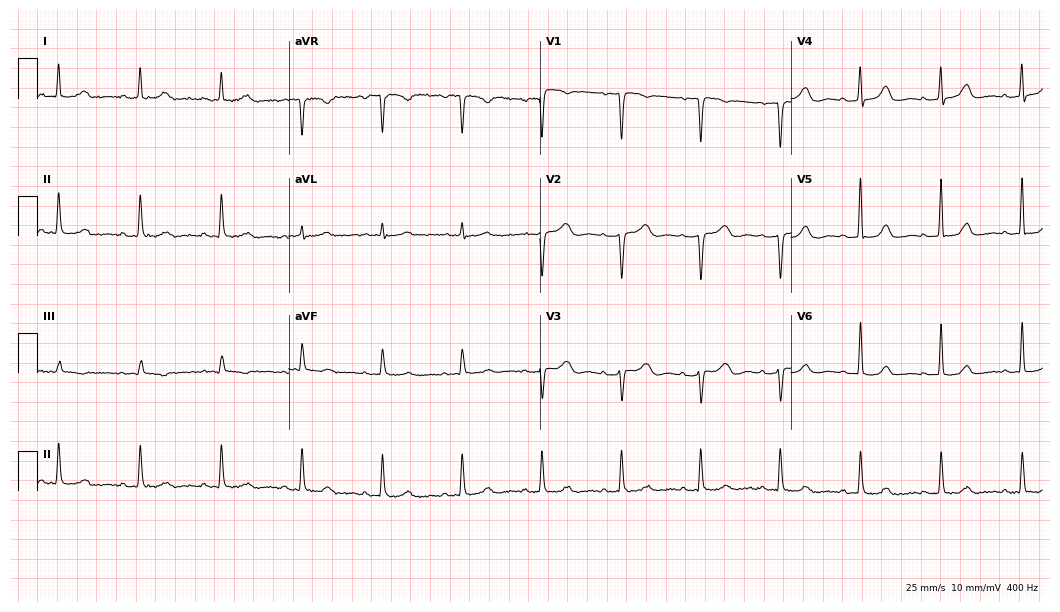
ECG (10.2-second recording at 400 Hz) — a female, 78 years old. Screened for six findings — first-degree AV block, right bundle branch block, left bundle branch block, sinus bradycardia, atrial fibrillation, sinus tachycardia — none is recorded.